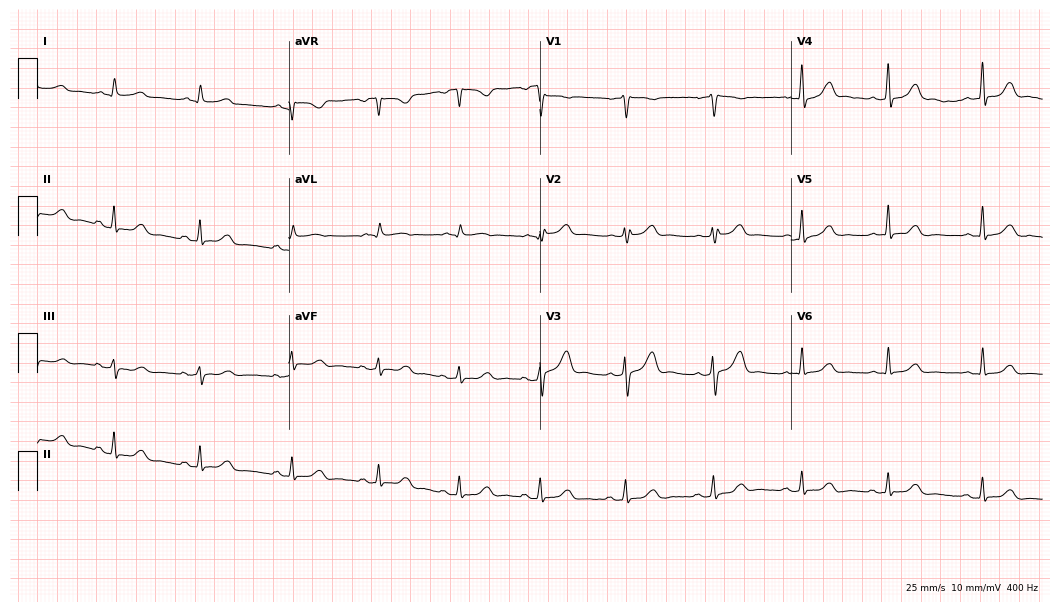
Resting 12-lead electrocardiogram (10.2-second recording at 400 Hz). Patient: a woman, 45 years old. None of these six findings is recorded: first-degree AV block, right bundle branch block, left bundle branch block, sinus bradycardia, atrial fibrillation, sinus tachycardia. Only these six findings were labelled.